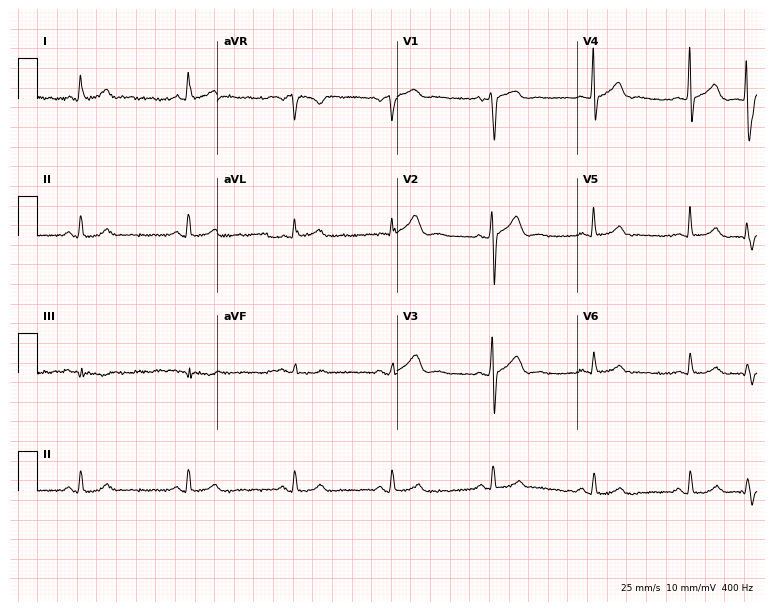
ECG (7.3-second recording at 400 Hz) — a male, 40 years old. Screened for six findings — first-degree AV block, right bundle branch block, left bundle branch block, sinus bradycardia, atrial fibrillation, sinus tachycardia — none is recorded.